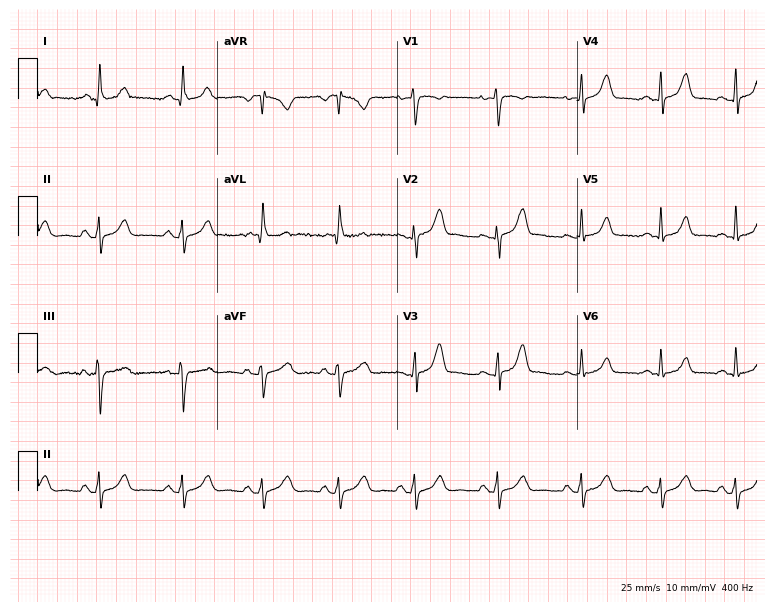
Resting 12-lead electrocardiogram. Patient: a female, 27 years old. Read as a normal ECG.